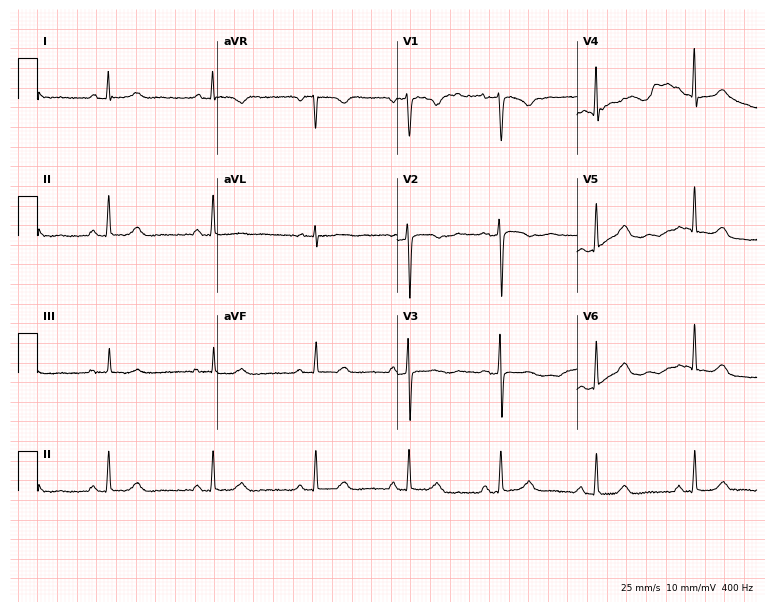
Electrocardiogram, a female patient, 45 years old. Overall reading on record: normal ECG.